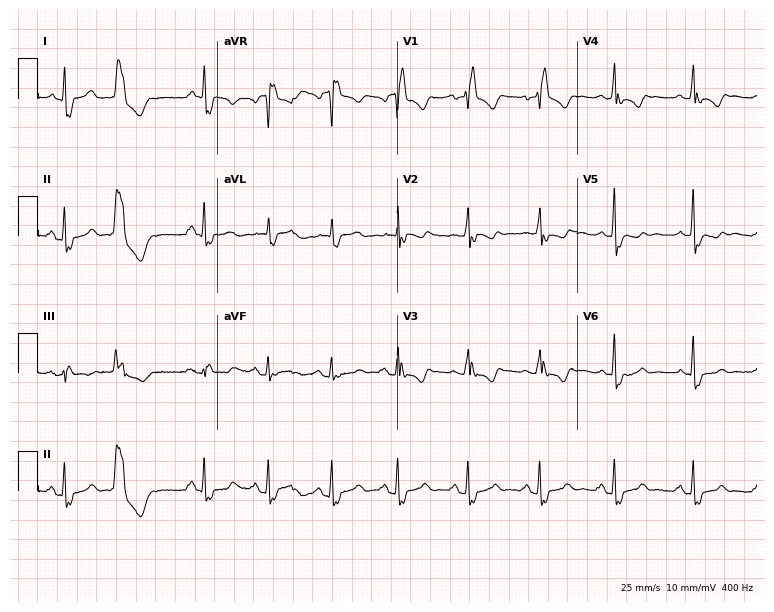
12-lead ECG from a woman, 60 years old (7.3-second recording at 400 Hz). Shows right bundle branch block.